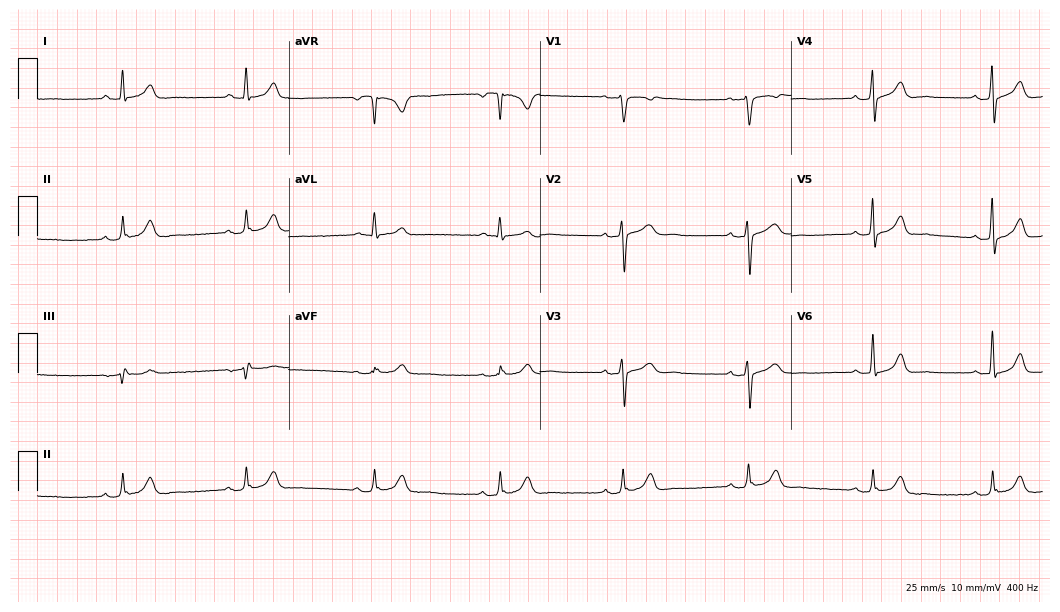
Standard 12-lead ECG recorded from a man, 63 years old. The tracing shows sinus bradycardia (a sinus rate of 50 beats per minute or less).